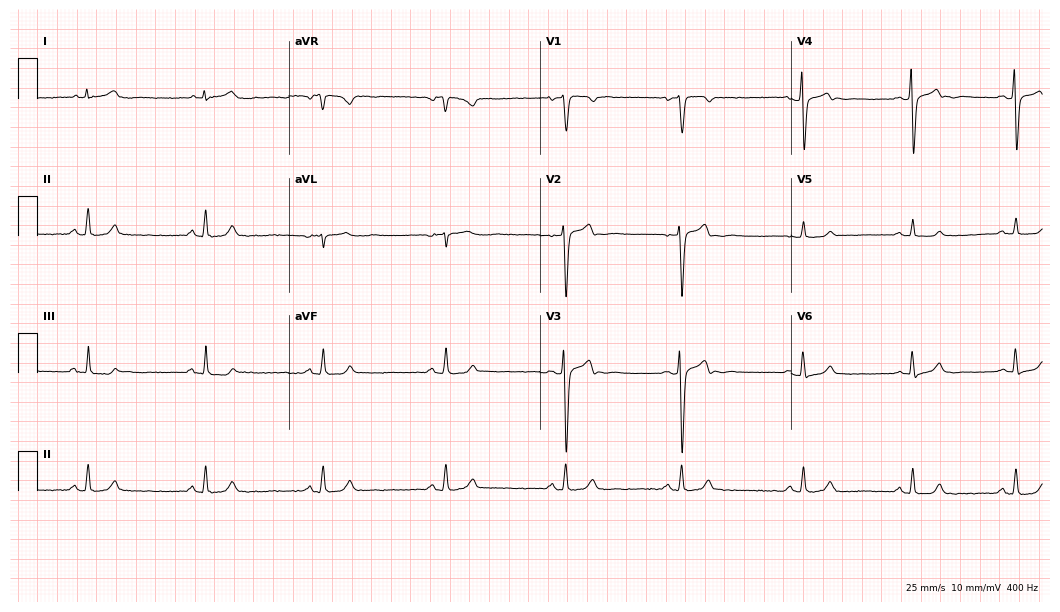
Resting 12-lead electrocardiogram (10.2-second recording at 400 Hz). Patient: a 33-year-old man. None of these six findings is recorded: first-degree AV block, right bundle branch block, left bundle branch block, sinus bradycardia, atrial fibrillation, sinus tachycardia. Findings outside these six are not listed.